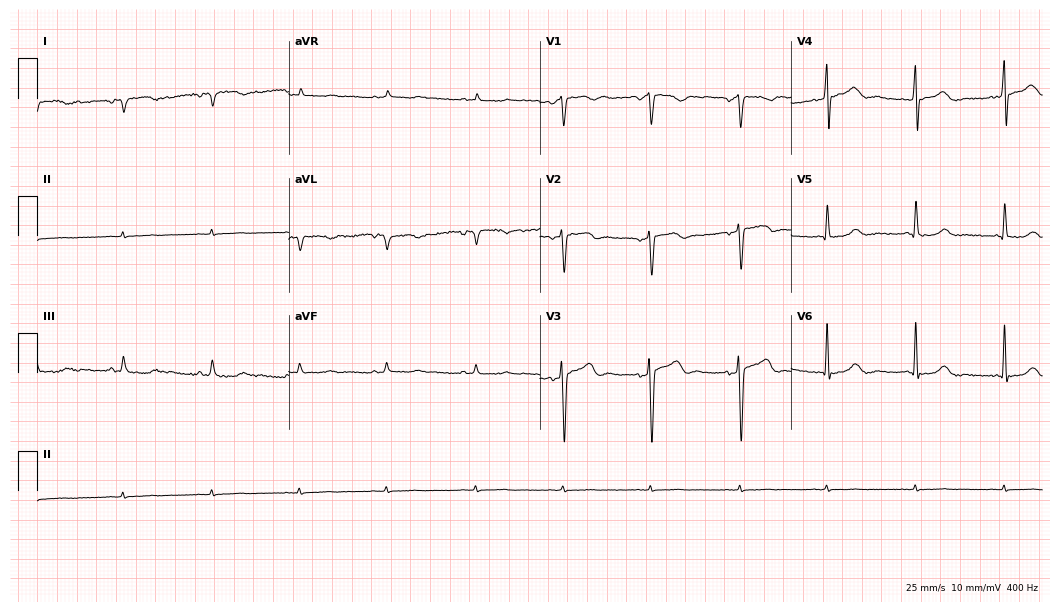
ECG — a 63-year-old male patient. Screened for six findings — first-degree AV block, right bundle branch block, left bundle branch block, sinus bradycardia, atrial fibrillation, sinus tachycardia — none is recorded. Only these six findings were labelled.